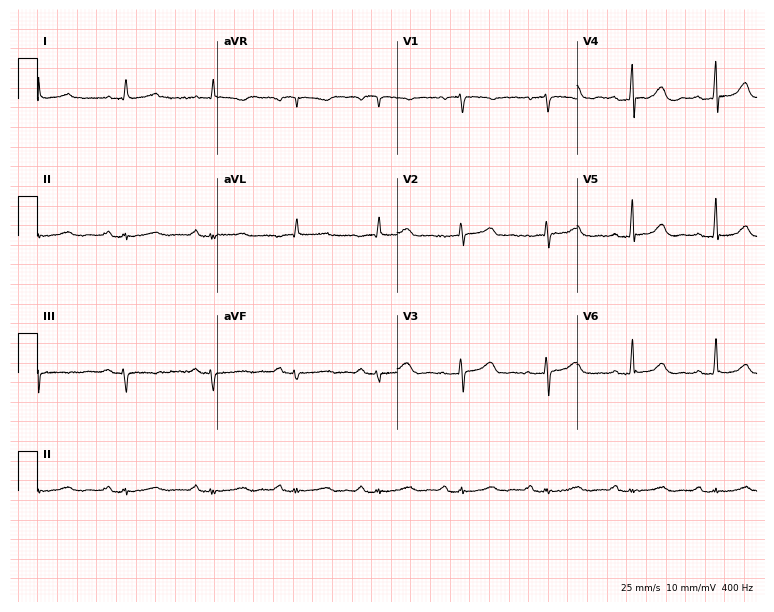
Electrocardiogram (7.3-second recording at 400 Hz), an 83-year-old female. Overall reading on record: normal ECG.